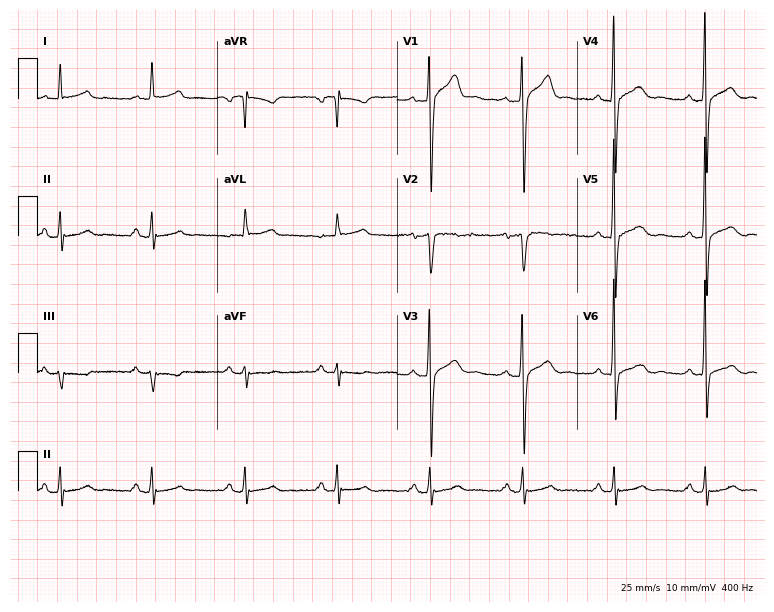
Electrocardiogram, a 44-year-old man. Of the six screened findings (first-degree AV block, right bundle branch block (RBBB), left bundle branch block (LBBB), sinus bradycardia, atrial fibrillation (AF), sinus tachycardia), none is recorded.